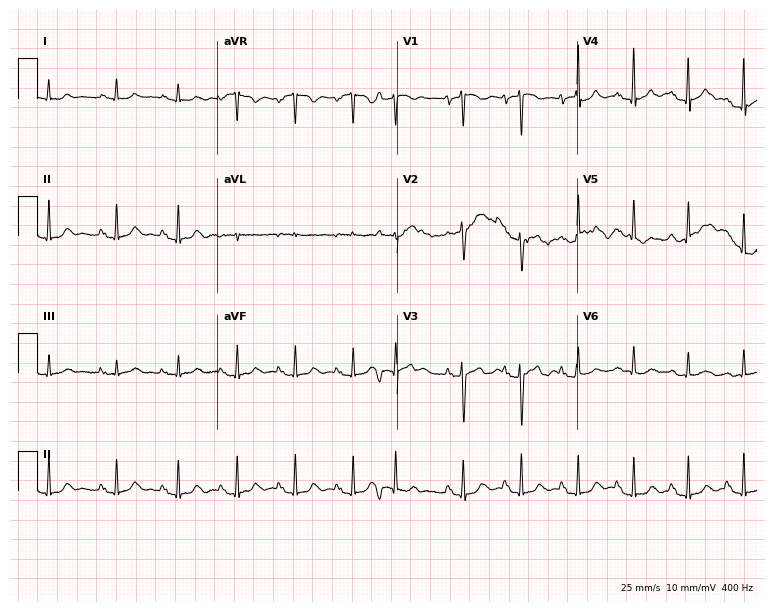
Standard 12-lead ECG recorded from a female patient, 66 years old (7.3-second recording at 400 Hz). None of these six findings is recorded: first-degree AV block, right bundle branch block (RBBB), left bundle branch block (LBBB), sinus bradycardia, atrial fibrillation (AF), sinus tachycardia.